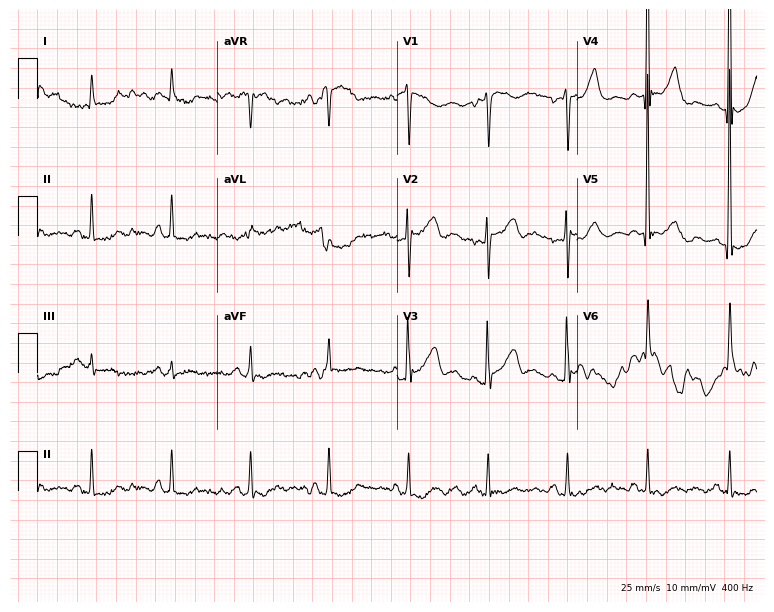
12-lead ECG from a 66-year-old male. Screened for six findings — first-degree AV block, right bundle branch block (RBBB), left bundle branch block (LBBB), sinus bradycardia, atrial fibrillation (AF), sinus tachycardia — none is recorded.